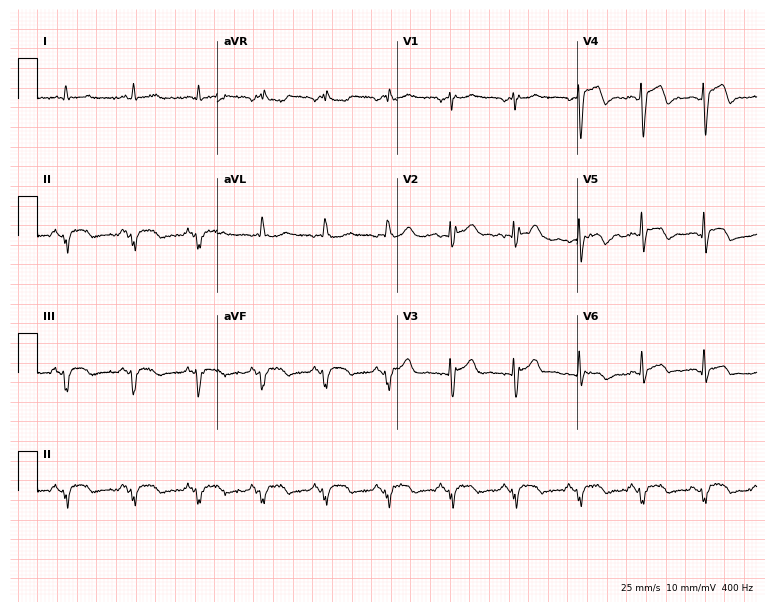
Standard 12-lead ECG recorded from a male patient, 60 years old (7.3-second recording at 400 Hz). None of these six findings is recorded: first-degree AV block, right bundle branch block, left bundle branch block, sinus bradycardia, atrial fibrillation, sinus tachycardia.